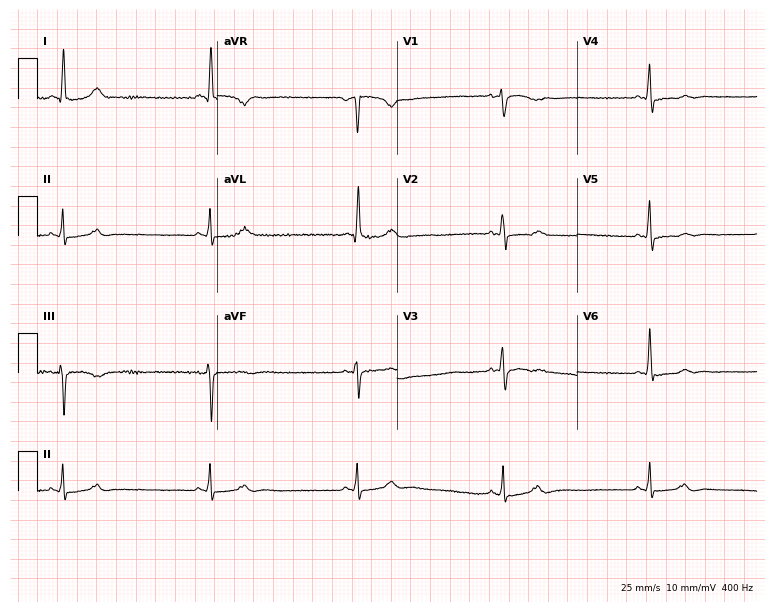
12-lead ECG from a woman, 73 years old (7.3-second recording at 400 Hz). Shows sinus bradycardia (a sinus rate of 50 beats per minute or less).